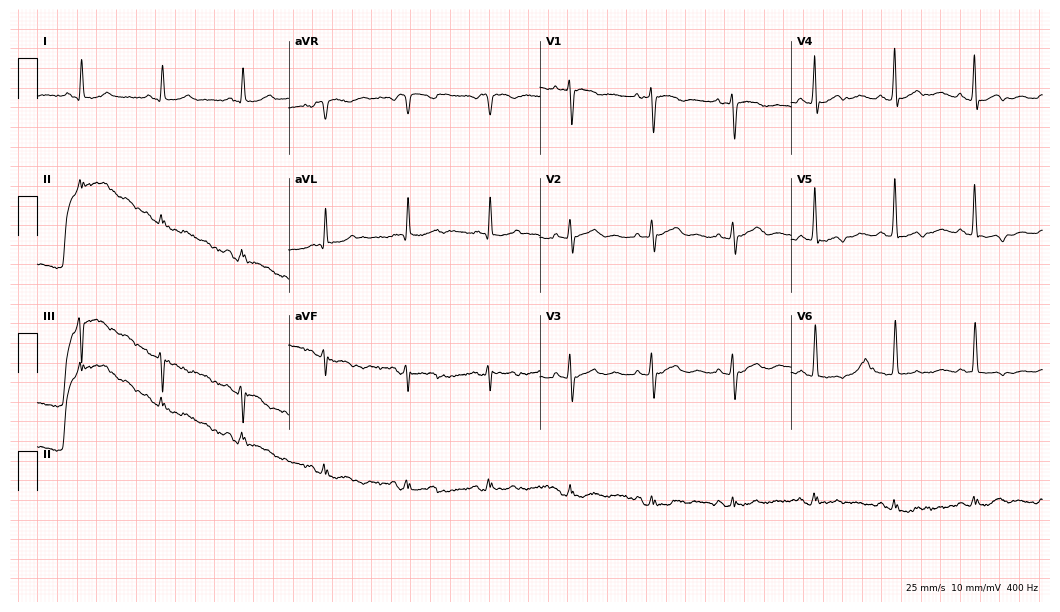
Resting 12-lead electrocardiogram (10.2-second recording at 400 Hz). Patient: an 81-year-old male. Read as a normal ECG.